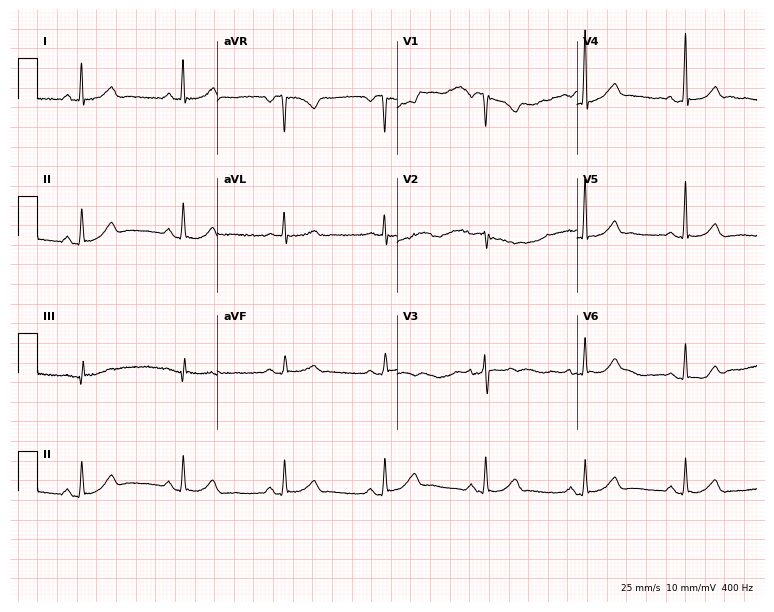
12-lead ECG (7.3-second recording at 400 Hz) from a 59-year-old male patient. Screened for six findings — first-degree AV block, right bundle branch block, left bundle branch block, sinus bradycardia, atrial fibrillation, sinus tachycardia — none is recorded. Findings outside these six are not listed.